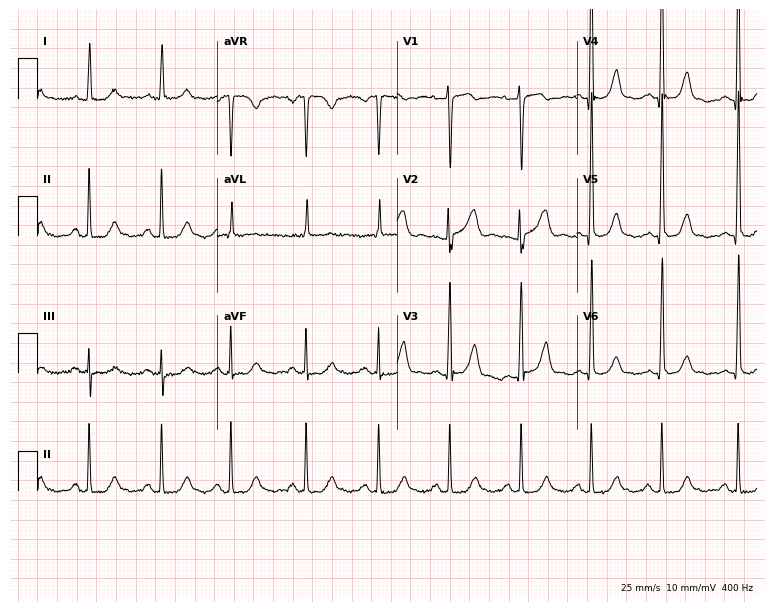
ECG — an 82-year-old woman. Screened for six findings — first-degree AV block, right bundle branch block, left bundle branch block, sinus bradycardia, atrial fibrillation, sinus tachycardia — none is recorded. Other findings, if any, are not listed.